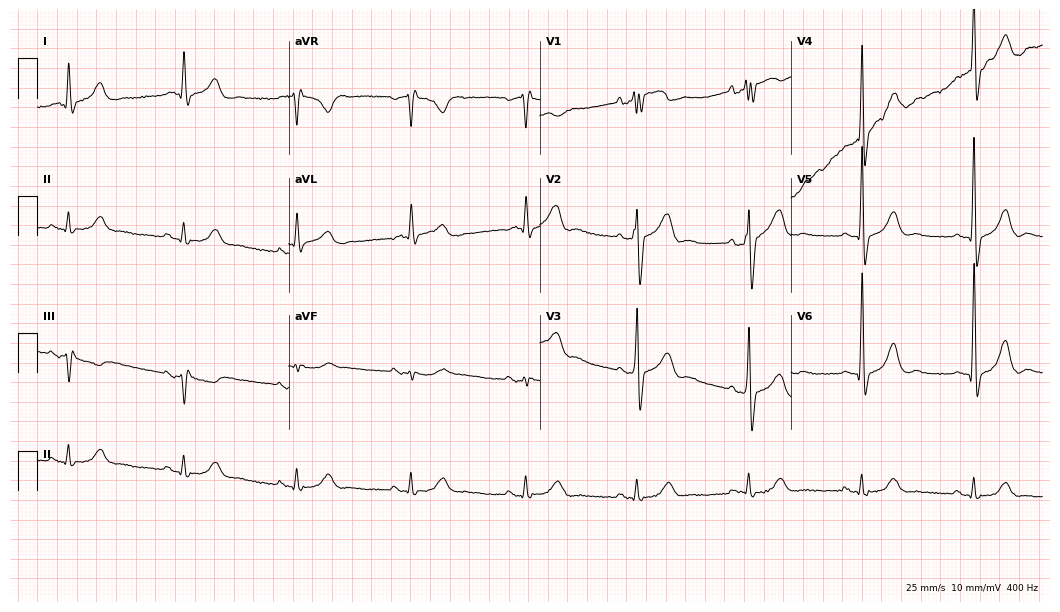
Electrocardiogram, a 62-year-old man. Of the six screened findings (first-degree AV block, right bundle branch block, left bundle branch block, sinus bradycardia, atrial fibrillation, sinus tachycardia), none is recorded. Other findings, if any, are not listed.